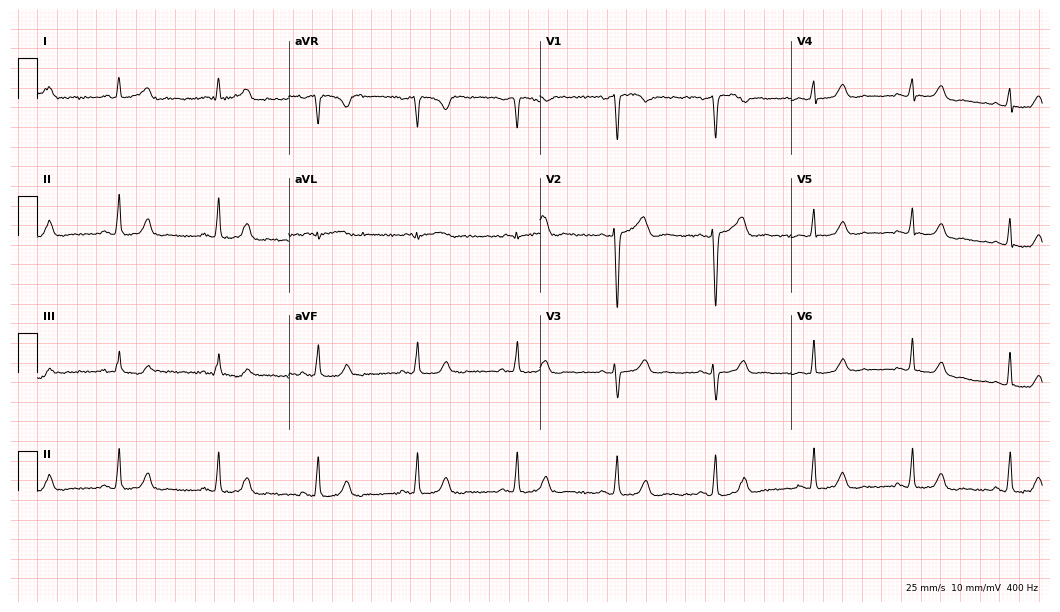
12-lead ECG from a woman, 66 years old. Recorded interpretation: within normal limits.